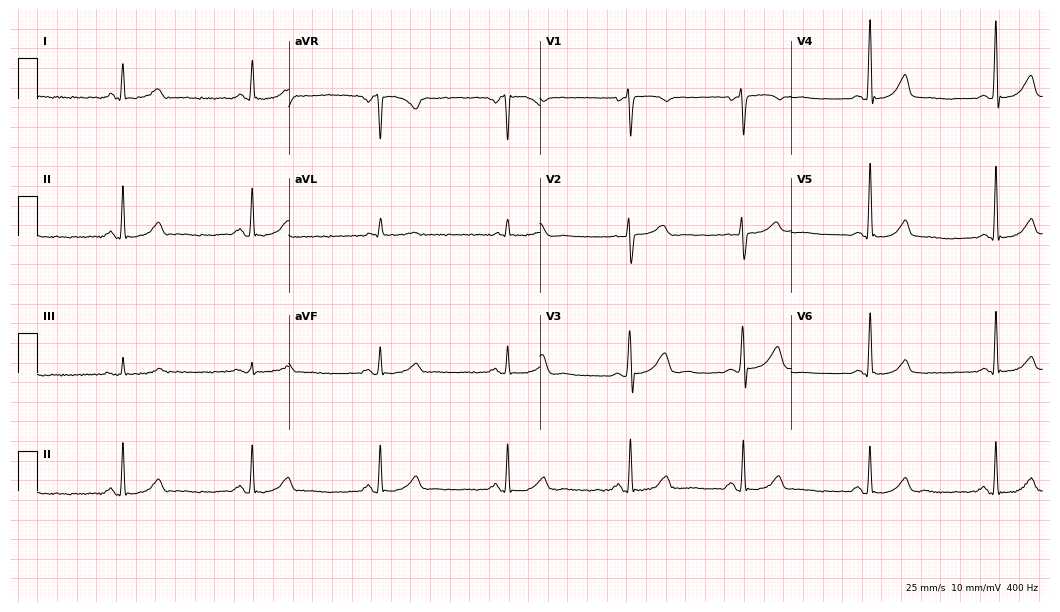
Standard 12-lead ECG recorded from a female, 57 years old (10.2-second recording at 400 Hz). None of these six findings is recorded: first-degree AV block, right bundle branch block, left bundle branch block, sinus bradycardia, atrial fibrillation, sinus tachycardia.